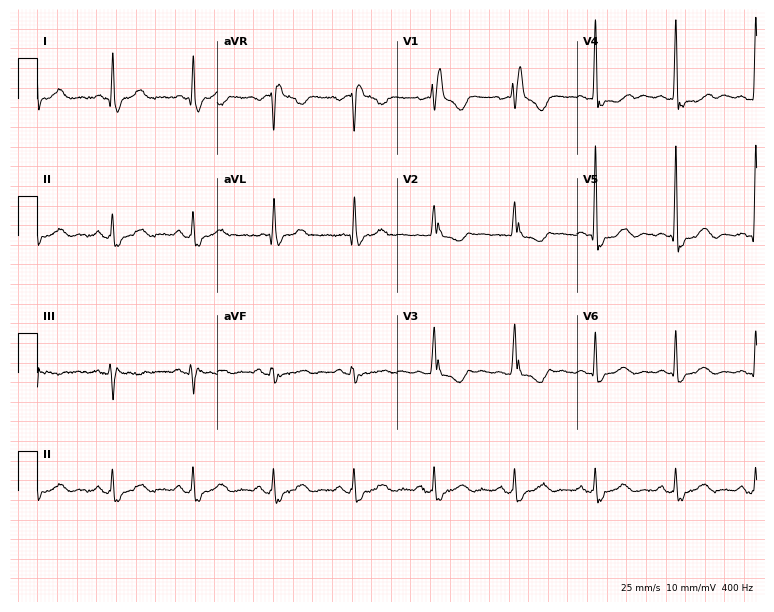
Resting 12-lead electrocardiogram (7.3-second recording at 400 Hz). Patient: an 83-year-old female. The tracing shows right bundle branch block.